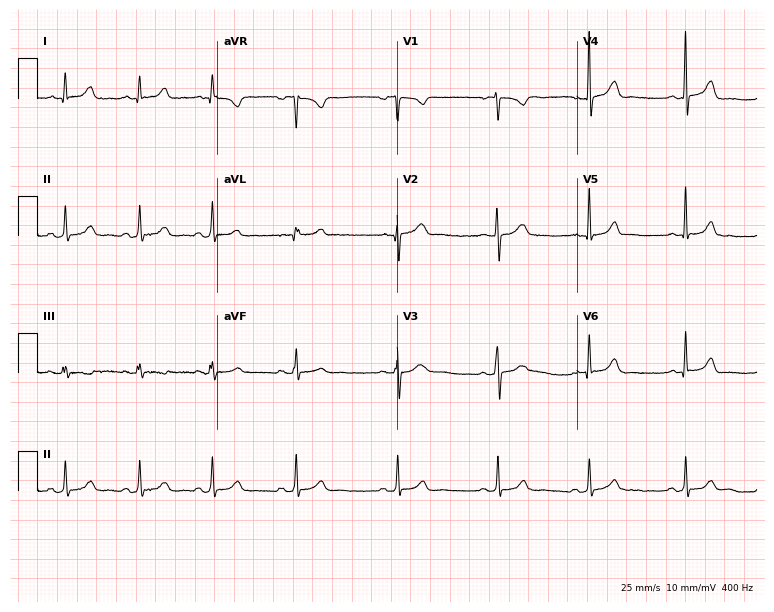
Electrocardiogram (7.3-second recording at 400 Hz), a 17-year-old male patient. Of the six screened findings (first-degree AV block, right bundle branch block, left bundle branch block, sinus bradycardia, atrial fibrillation, sinus tachycardia), none is recorded.